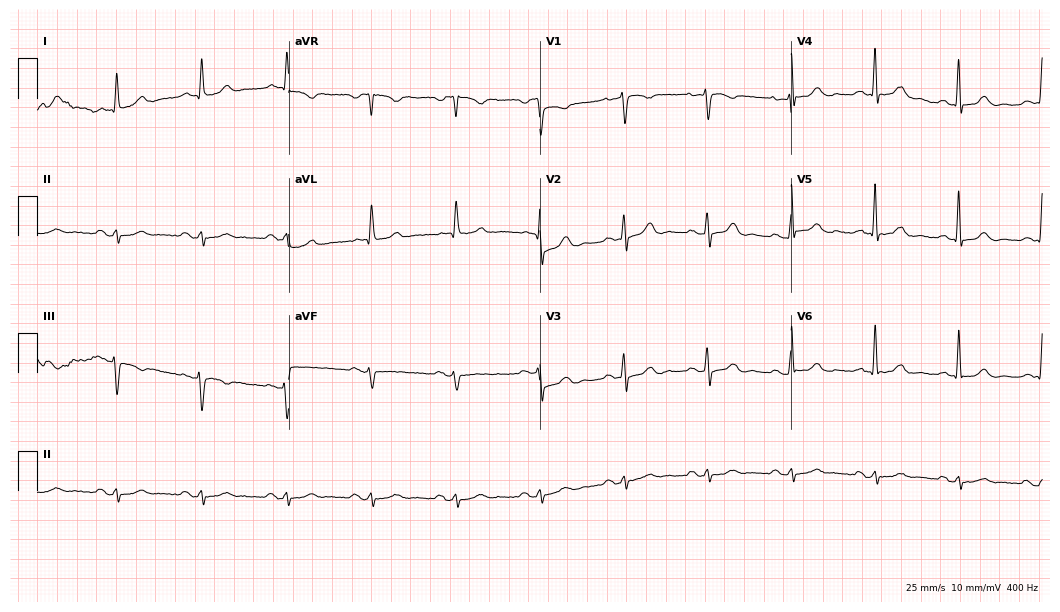
Resting 12-lead electrocardiogram (10.2-second recording at 400 Hz). Patient: a man, 84 years old. None of these six findings is recorded: first-degree AV block, right bundle branch block (RBBB), left bundle branch block (LBBB), sinus bradycardia, atrial fibrillation (AF), sinus tachycardia. Other findings, if any, are not listed.